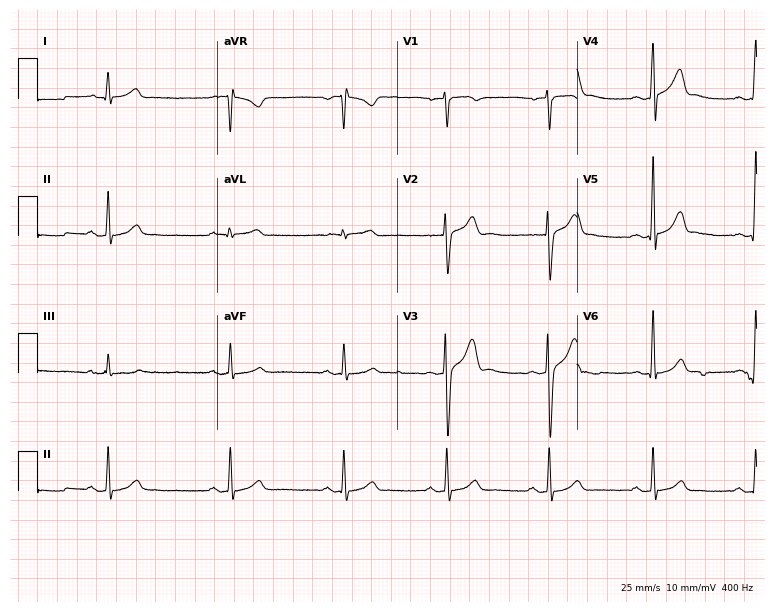
Electrocardiogram, a male, 38 years old. Of the six screened findings (first-degree AV block, right bundle branch block (RBBB), left bundle branch block (LBBB), sinus bradycardia, atrial fibrillation (AF), sinus tachycardia), none is recorded.